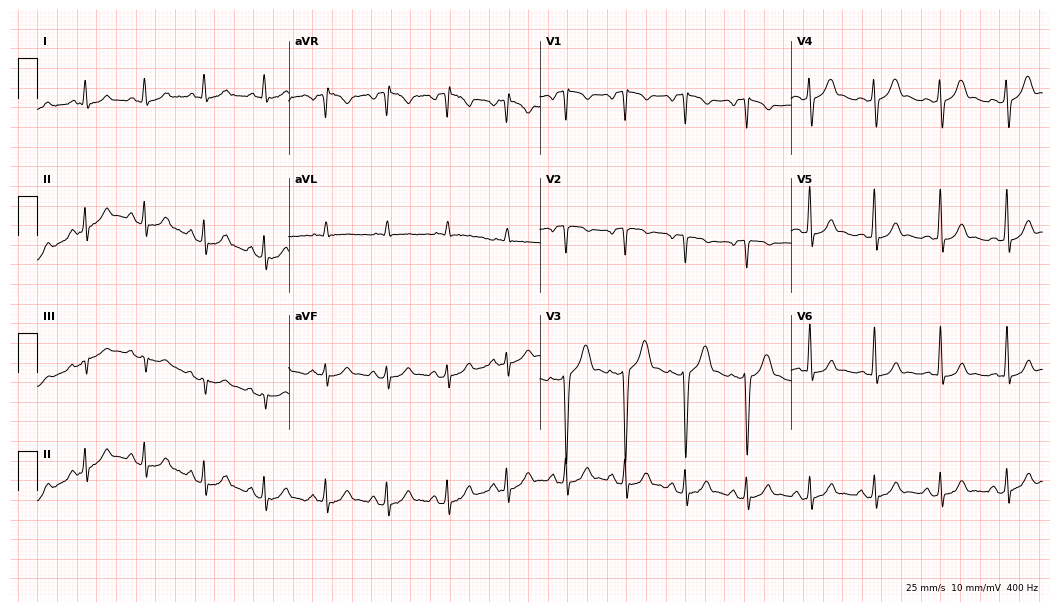
Electrocardiogram, a 42-year-old male patient. Of the six screened findings (first-degree AV block, right bundle branch block, left bundle branch block, sinus bradycardia, atrial fibrillation, sinus tachycardia), none is recorded. Only these six findings were labelled.